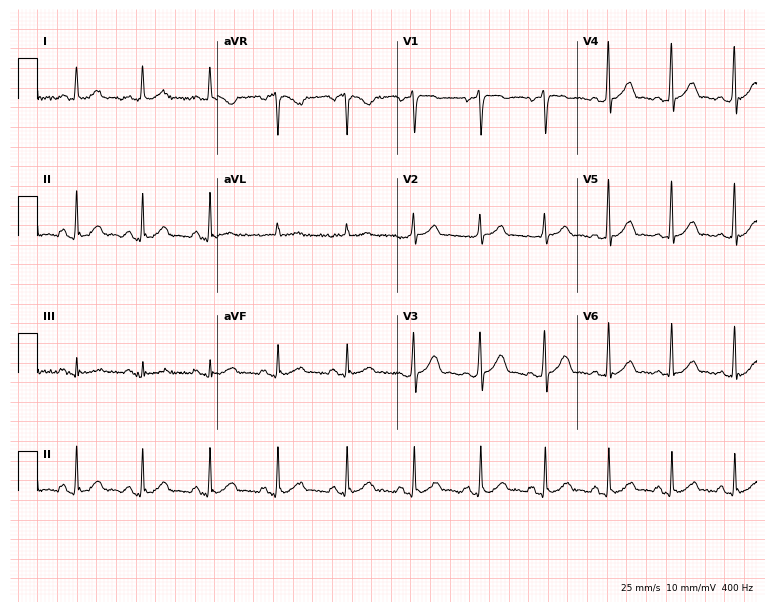
12-lead ECG from a 58-year-old male. No first-degree AV block, right bundle branch block, left bundle branch block, sinus bradycardia, atrial fibrillation or sinus tachycardia recorded for this tracing. Other findings, if any, are not listed.